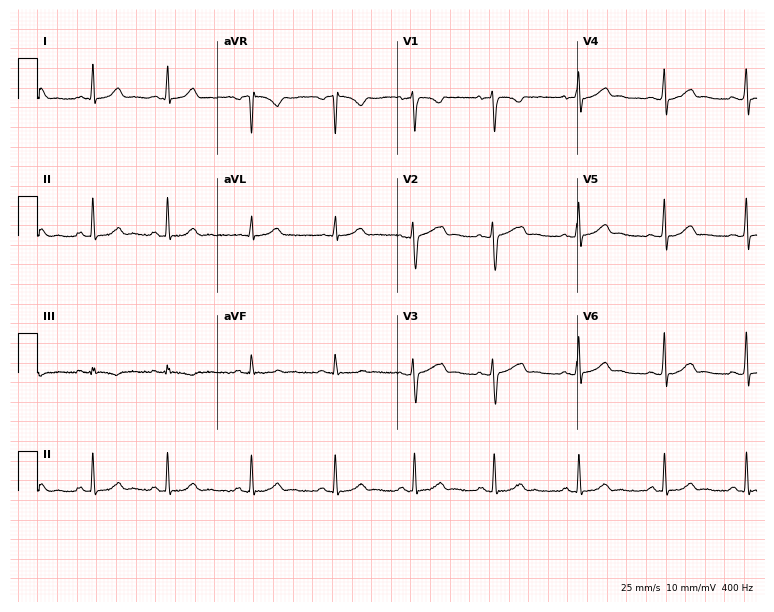
12-lead ECG from a woman, 24 years old. Recorded interpretation: within normal limits.